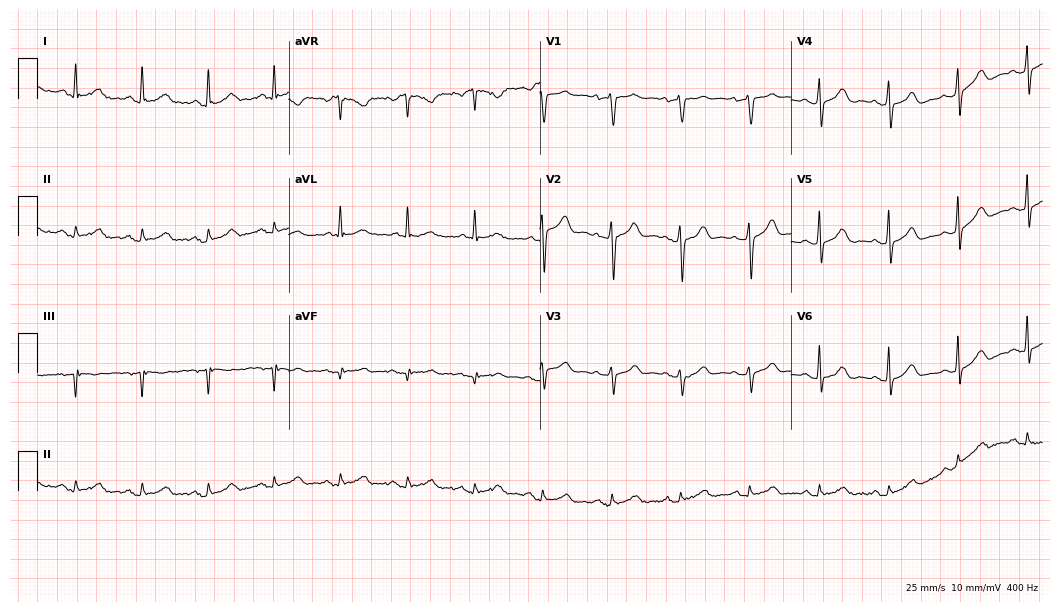
12-lead ECG (10.2-second recording at 400 Hz) from a 67-year-old female. Labelled as a normal ECG.